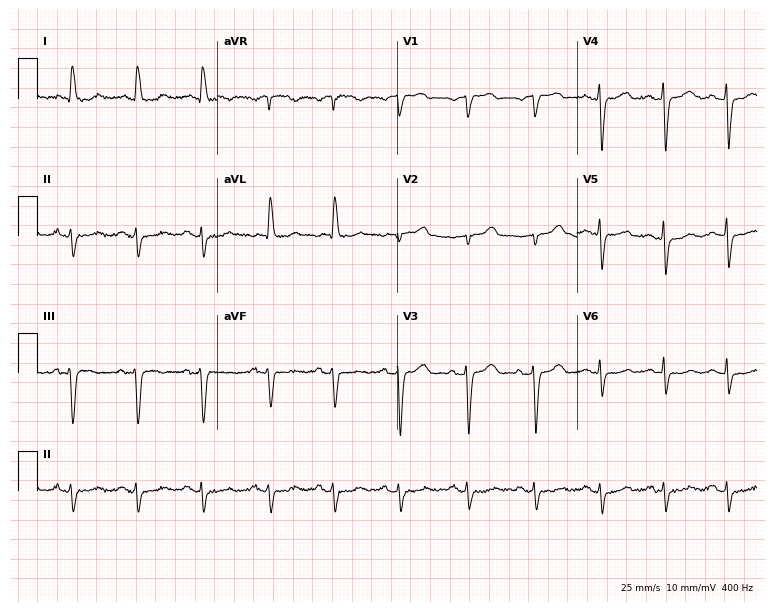
ECG — a 68-year-old woman. Screened for six findings — first-degree AV block, right bundle branch block, left bundle branch block, sinus bradycardia, atrial fibrillation, sinus tachycardia — none is recorded. Other findings, if any, are not listed.